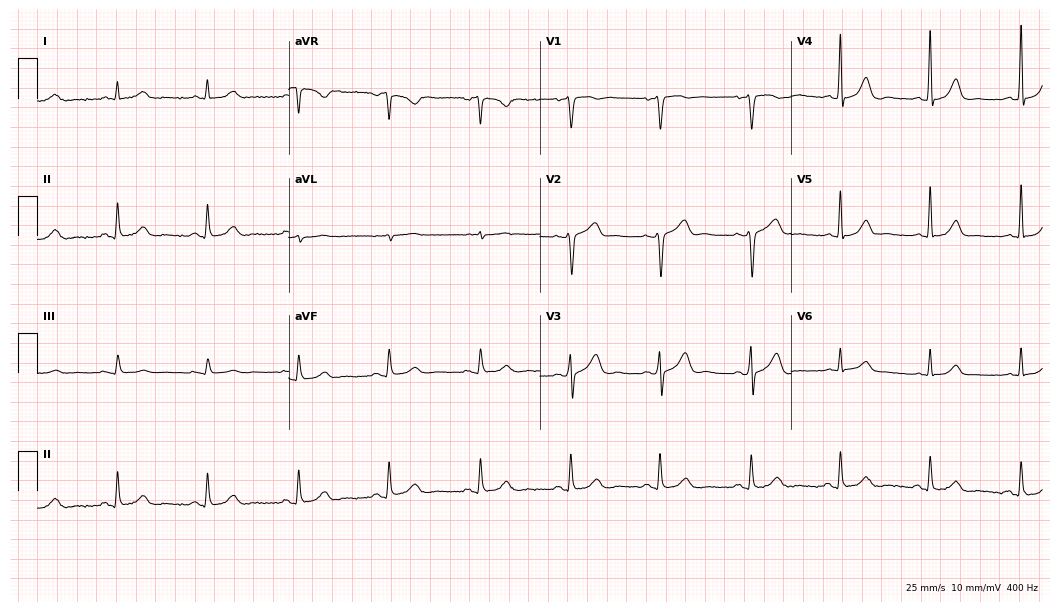
12-lead ECG from a 61-year-old male patient. Screened for six findings — first-degree AV block, right bundle branch block, left bundle branch block, sinus bradycardia, atrial fibrillation, sinus tachycardia — none is recorded.